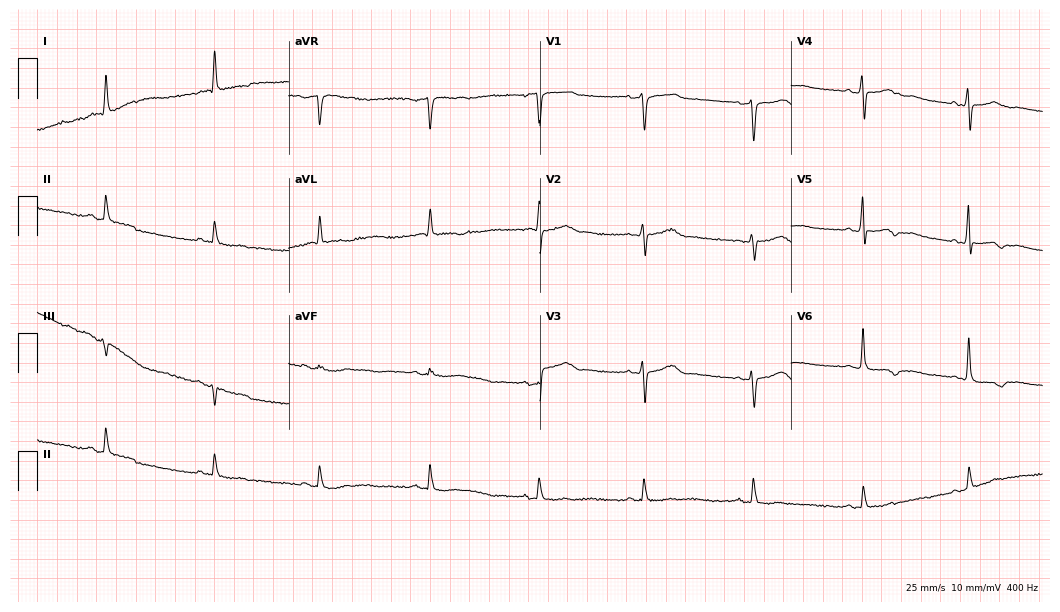
Standard 12-lead ECG recorded from a 74-year-old female (10.2-second recording at 400 Hz). None of these six findings is recorded: first-degree AV block, right bundle branch block, left bundle branch block, sinus bradycardia, atrial fibrillation, sinus tachycardia. Only these six findings were labelled.